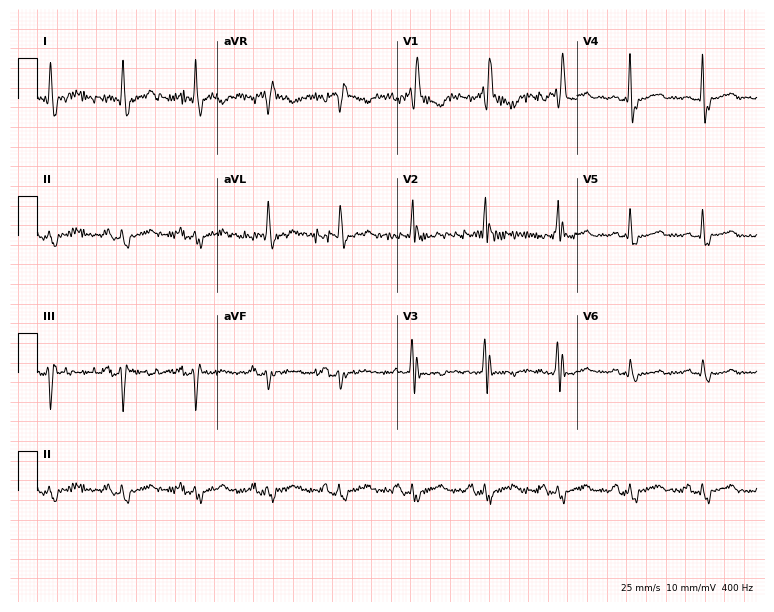
Standard 12-lead ECG recorded from a woman, 79 years old. The tracing shows right bundle branch block (RBBB).